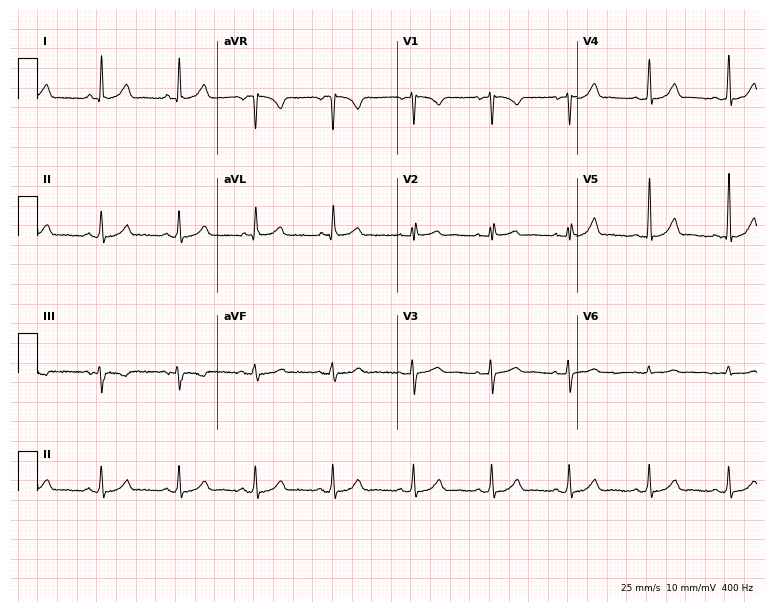
Standard 12-lead ECG recorded from a female, 47 years old. Read as a normal ECG.